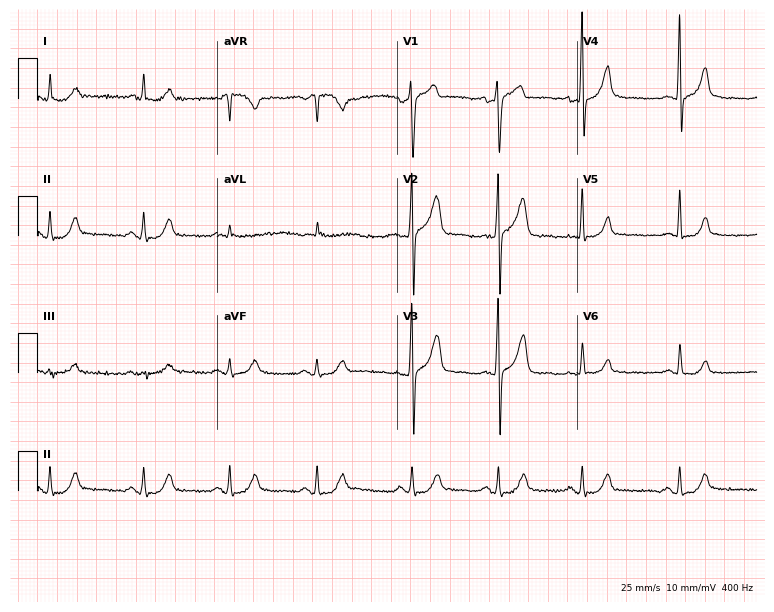
Standard 12-lead ECG recorded from a man, 55 years old. None of these six findings is recorded: first-degree AV block, right bundle branch block (RBBB), left bundle branch block (LBBB), sinus bradycardia, atrial fibrillation (AF), sinus tachycardia. Findings outside these six are not listed.